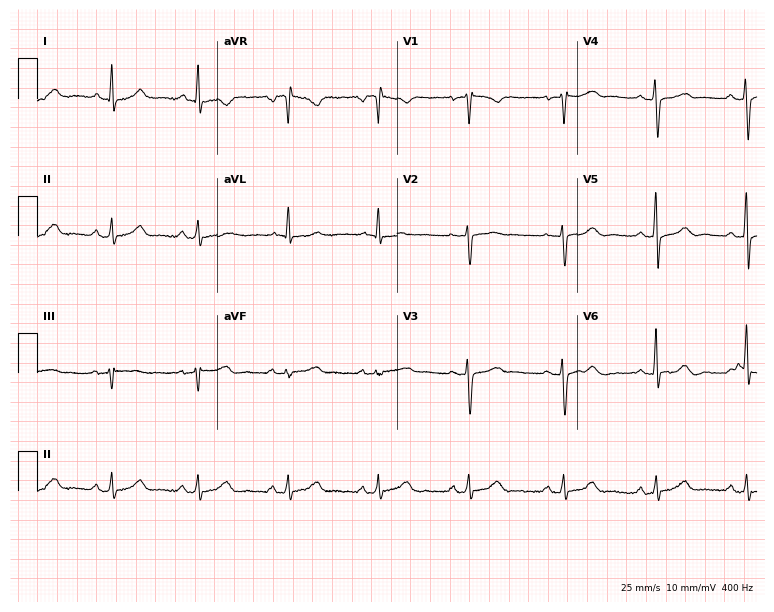
Electrocardiogram (7.3-second recording at 400 Hz), a woman, 49 years old. Overall reading on record: normal ECG.